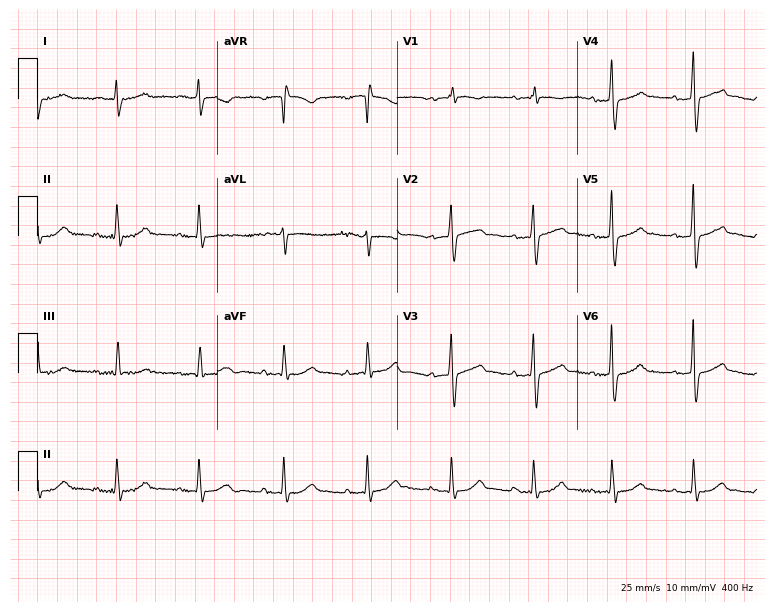
12-lead ECG from an 82-year-old male patient. No first-degree AV block, right bundle branch block (RBBB), left bundle branch block (LBBB), sinus bradycardia, atrial fibrillation (AF) or sinus tachycardia recorded for this tracing. Findings outside these six are not listed.